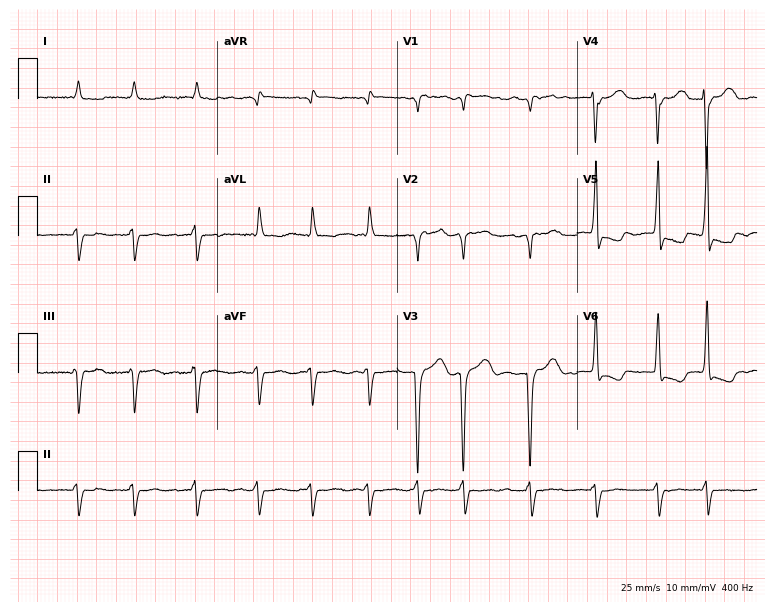
ECG (7.3-second recording at 400 Hz) — an 85-year-old female. Findings include atrial fibrillation (AF).